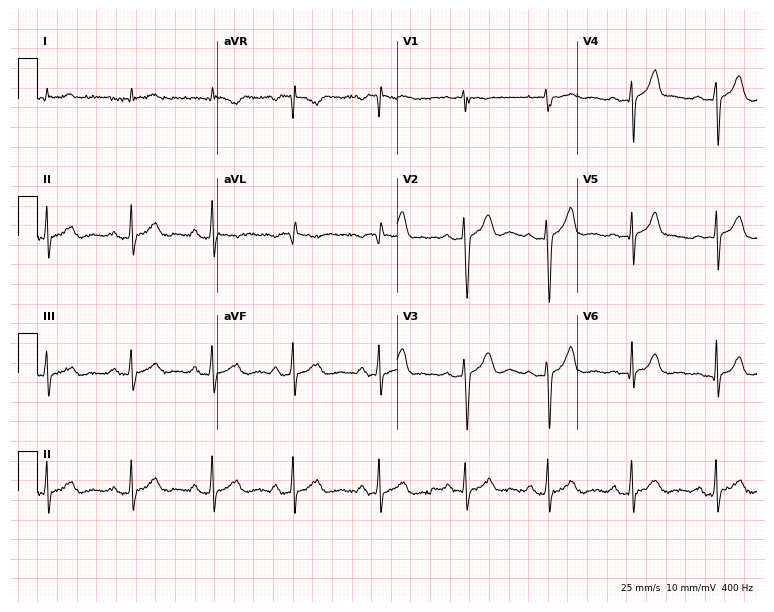
Electrocardiogram, a male, 77 years old. Overall reading on record: normal ECG.